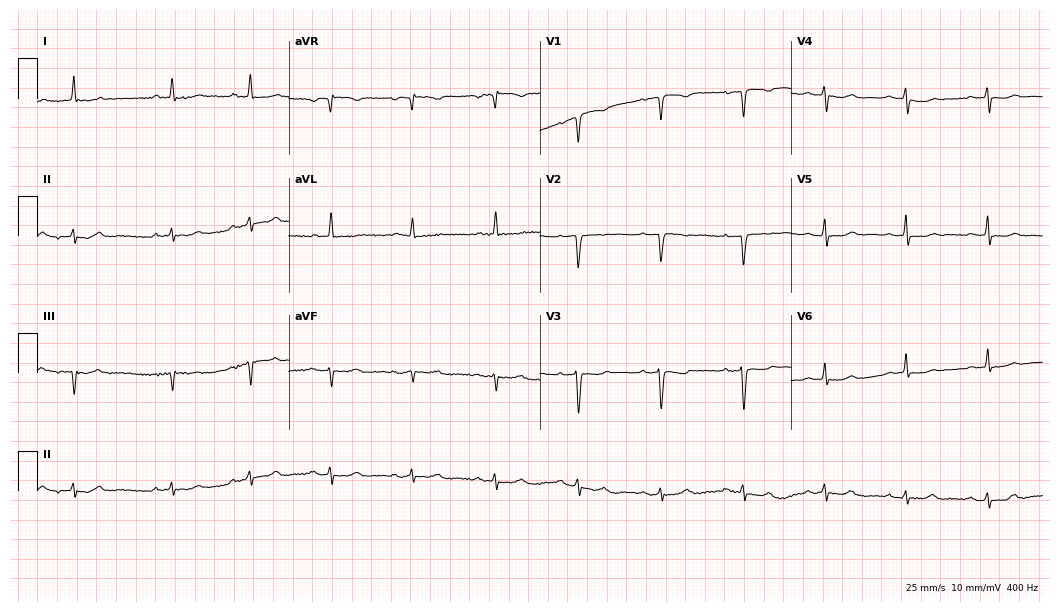
12-lead ECG from a woman, 43 years old. Screened for six findings — first-degree AV block, right bundle branch block (RBBB), left bundle branch block (LBBB), sinus bradycardia, atrial fibrillation (AF), sinus tachycardia — none is recorded. Other findings, if any, are not listed.